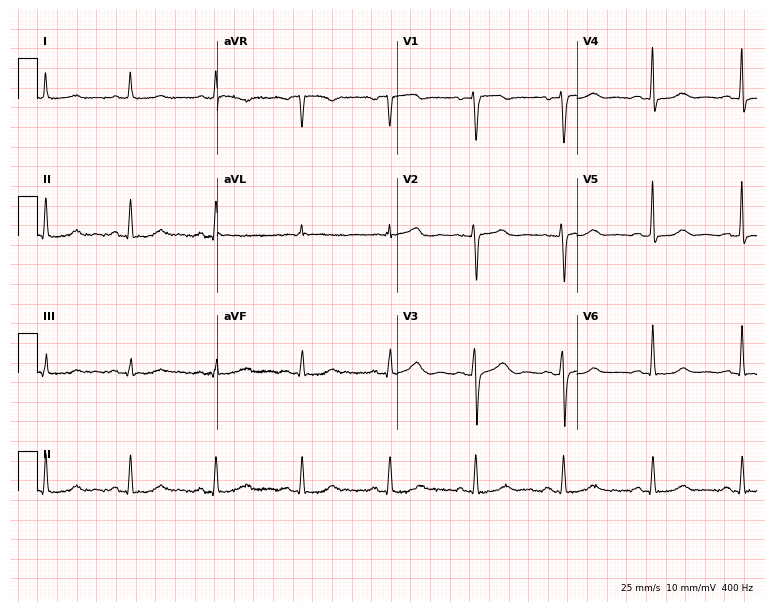
12-lead ECG (7.3-second recording at 400 Hz) from a female patient, 43 years old. Labelled as a normal ECG.